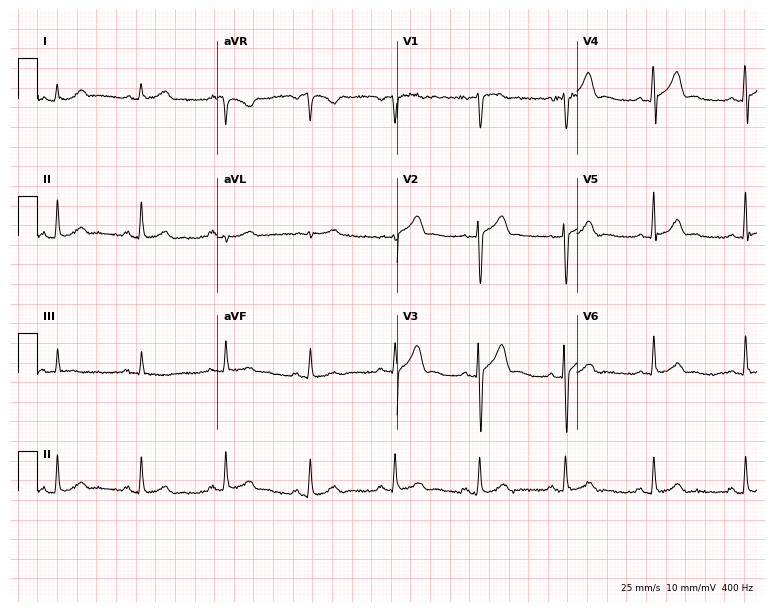
12-lead ECG (7.3-second recording at 400 Hz) from a male patient, 50 years old. Labelled as a normal ECG.